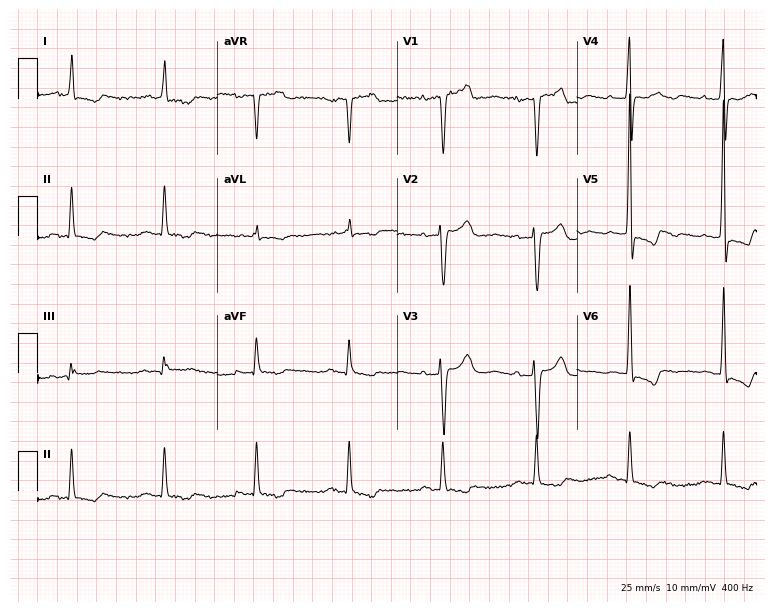
12-lead ECG (7.3-second recording at 400 Hz) from a male, 83 years old. Screened for six findings — first-degree AV block, right bundle branch block, left bundle branch block, sinus bradycardia, atrial fibrillation, sinus tachycardia — none is recorded. Findings outside these six are not listed.